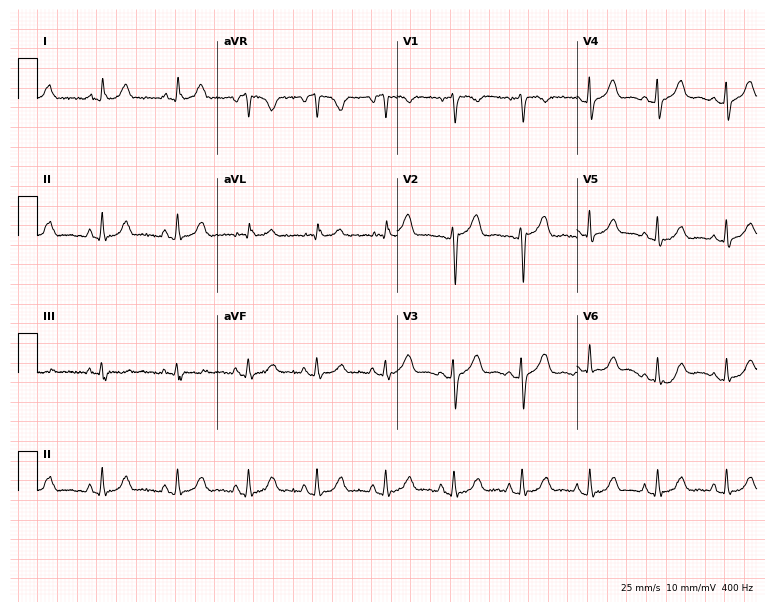
Resting 12-lead electrocardiogram (7.3-second recording at 400 Hz). Patient: a 73-year-old female. None of these six findings is recorded: first-degree AV block, right bundle branch block (RBBB), left bundle branch block (LBBB), sinus bradycardia, atrial fibrillation (AF), sinus tachycardia. Findings outside these six are not listed.